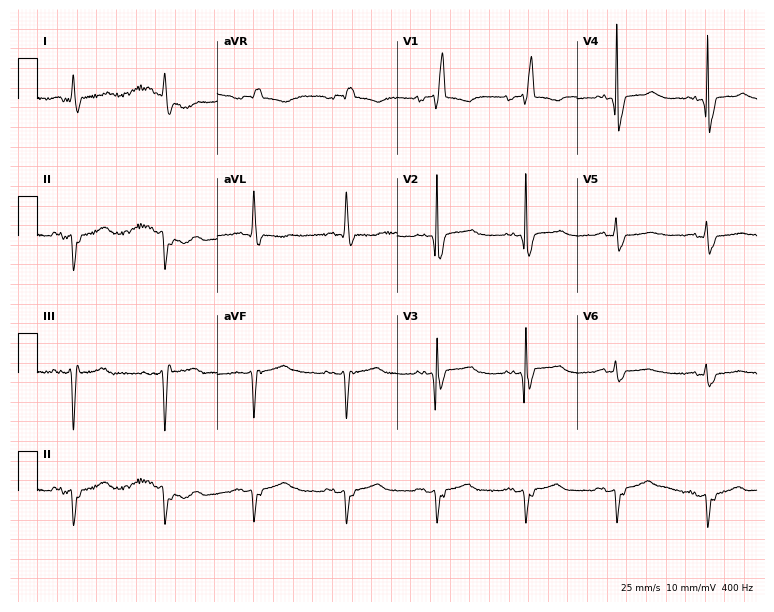
12-lead ECG from a man, 76 years old. Shows right bundle branch block (RBBB).